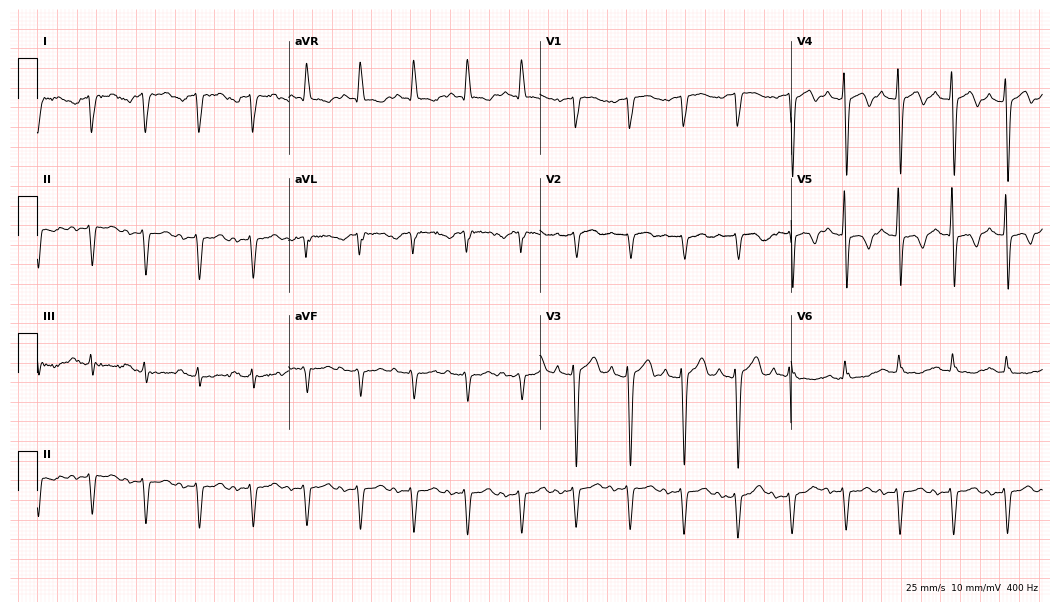
ECG (10.2-second recording at 400 Hz) — an 85-year-old female patient. Findings include sinus tachycardia (a sinus rate of 100 beats per minute or more).